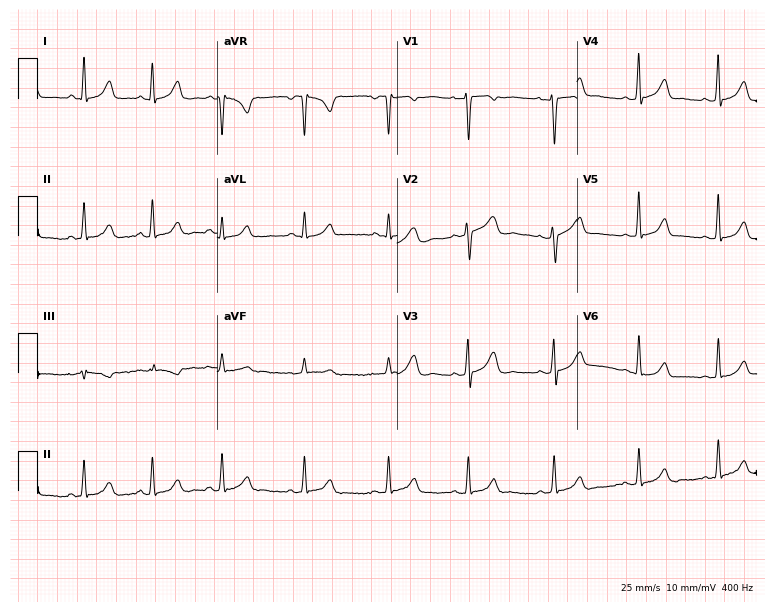
12-lead ECG (7.3-second recording at 400 Hz) from a 24-year-old woman. Screened for six findings — first-degree AV block, right bundle branch block, left bundle branch block, sinus bradycardia, atrial fibrillation, sinus tachycardia — none is recorded.